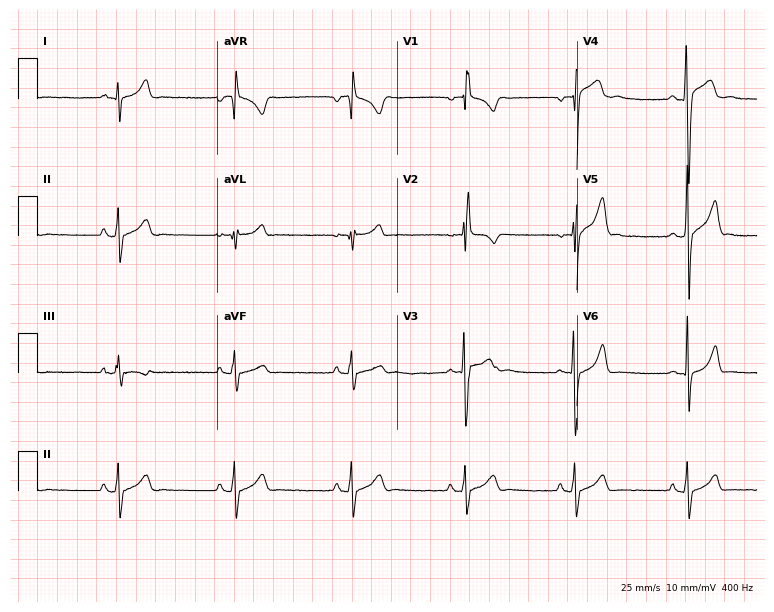
Electrocardiogram, an 18-year-old male patient. Of the six screened findings (first-degree AV block, right bundle branch block, left bundle branch block, sinus bradycardia, atrial fibrillation, sinus tachycardia), none is recorded. Other findings, if any, are not listed.